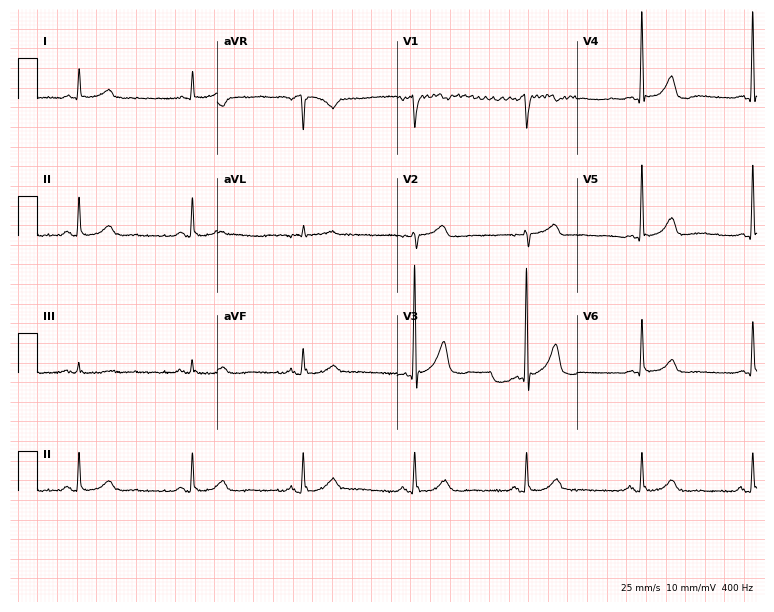
Standard 12-lead ECG recorded from an 84-year-old male. Read as a normal ECG.